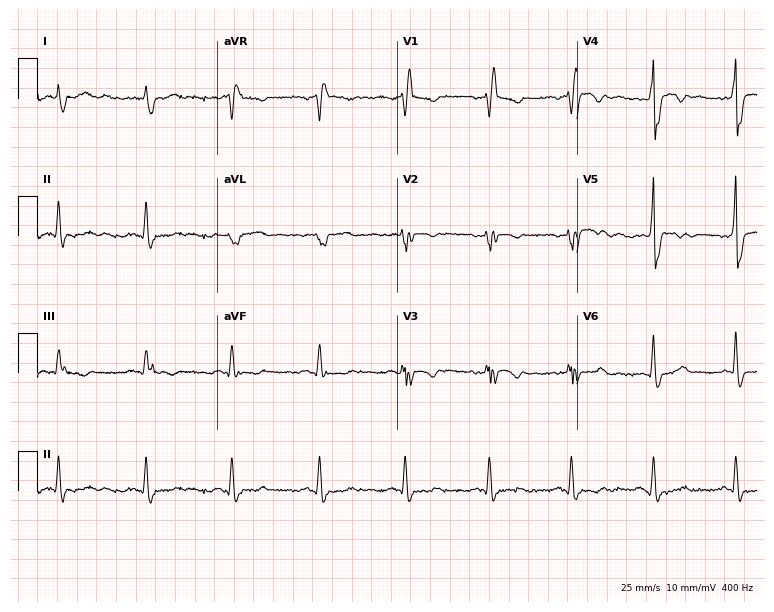
12-lead ECG from a male, 64 years old. Findings include right bundle branch block (RBBB).